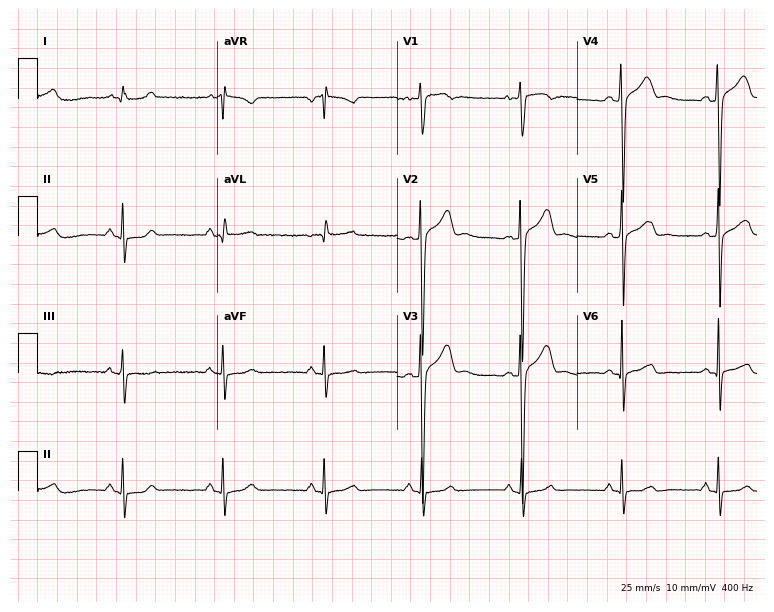
Resting 12-lead electrocardiogram (7.3-second recording at 400 Hz). Patient: a male, 25 years old. Read as a normal ECG.